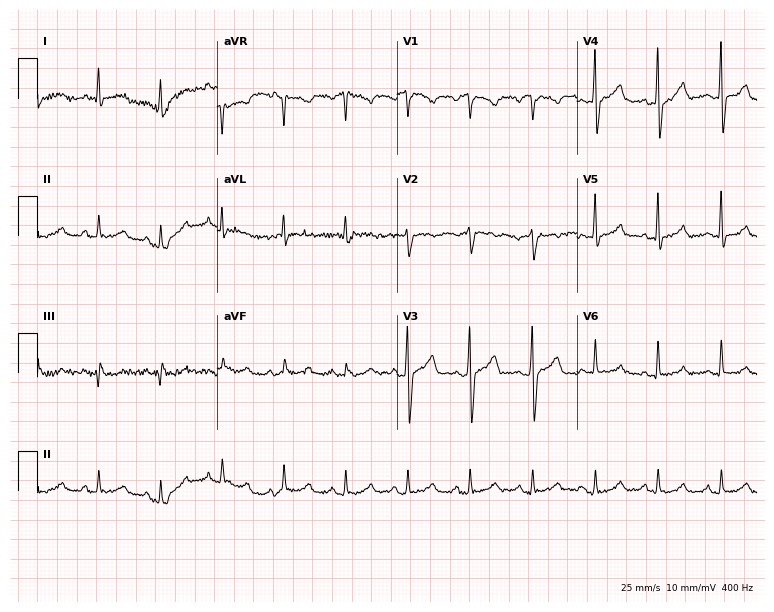
12-lead ECG from a 51-year-old man. No first-degree AV block, right bundle branch block, left bundle branch block, sinus bradycardia, atrial fibrillation or sinus tachycardia recorded for this tracing.